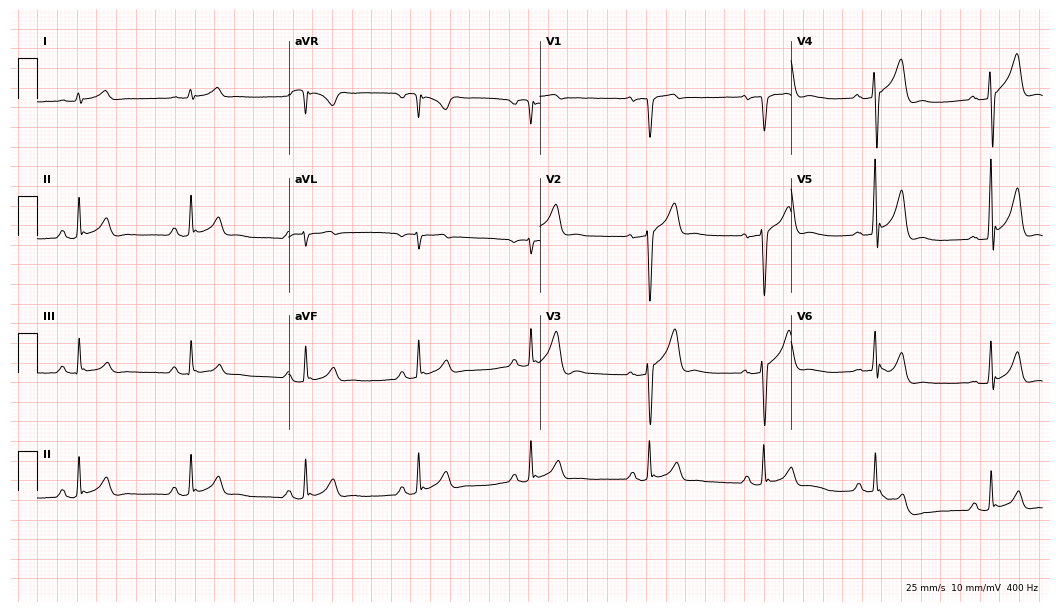
12-lead ECG from a male, 57 years old. Labelled as a normal ECG.